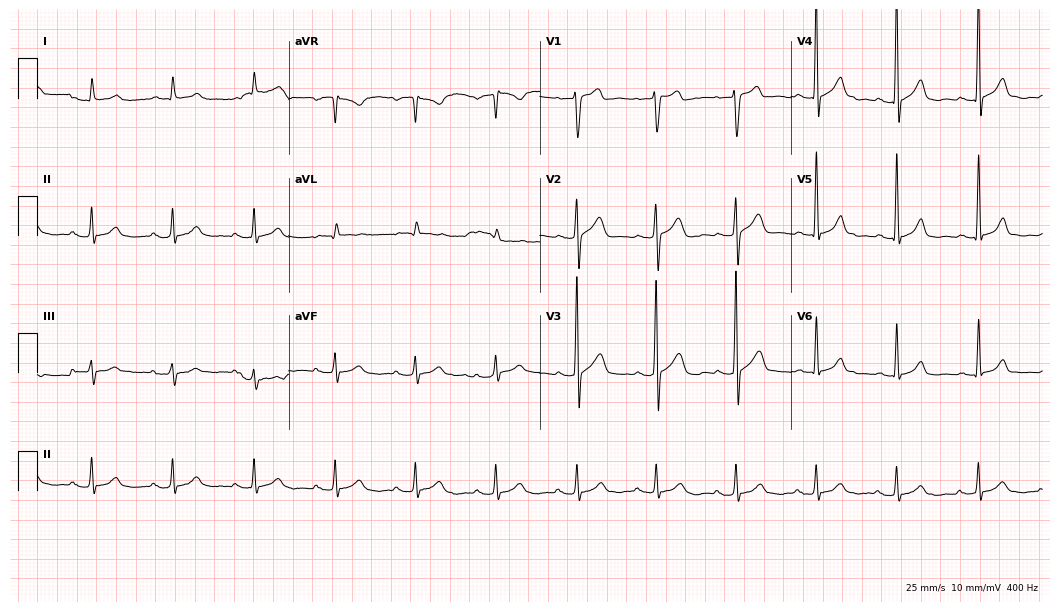
Resting 12-lead electrocardiogram. Patient: a 75-year-old man. Read as a normal ECG.